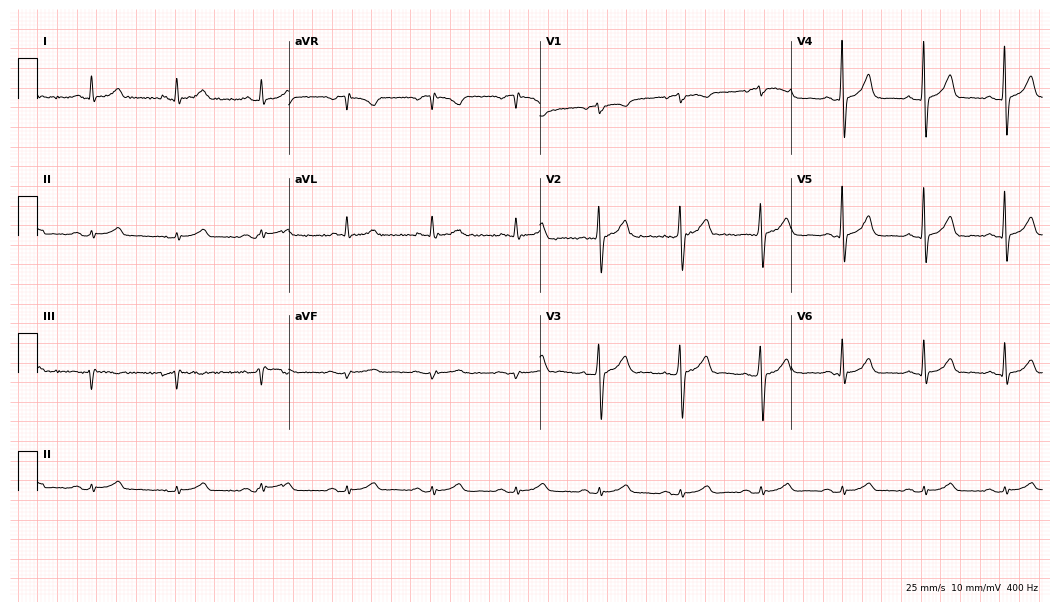
Electrocardiogram, a man, 66 years old. Of the six screened findings (first-degree AV block, right bundle branch block (RBBB), left bundle branch block (LBBB), sinus bradycardia, atrial fibrillation (AF), sinus tachycardia), none is recorded.